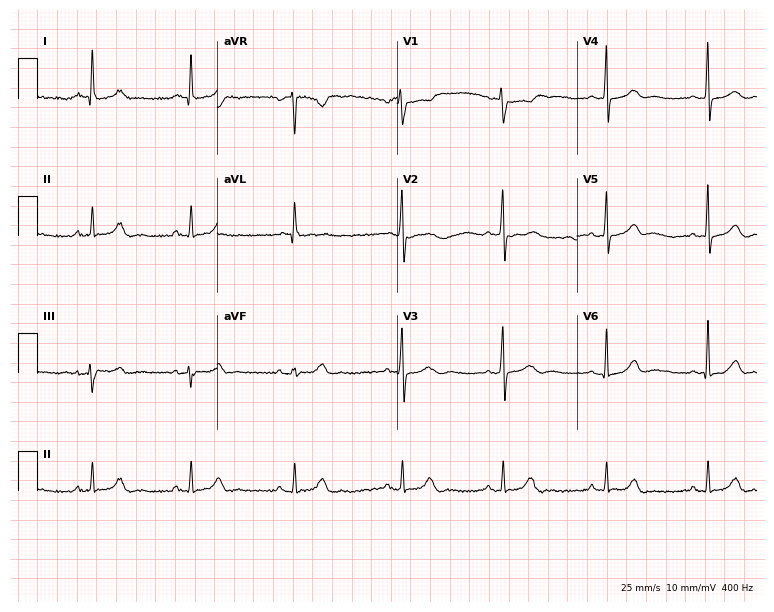
Resting 12-lead electrocardiogram (7.3-second recording at 400 Hz). Patient: a woman, 64 years old. None of these six findings is recorded: first-degree AV block, right bundle branch block, left bundle branch block, sinus bradycardia, atrial fibrillation, sinus tachycardia. Findings outside these six are not listed.